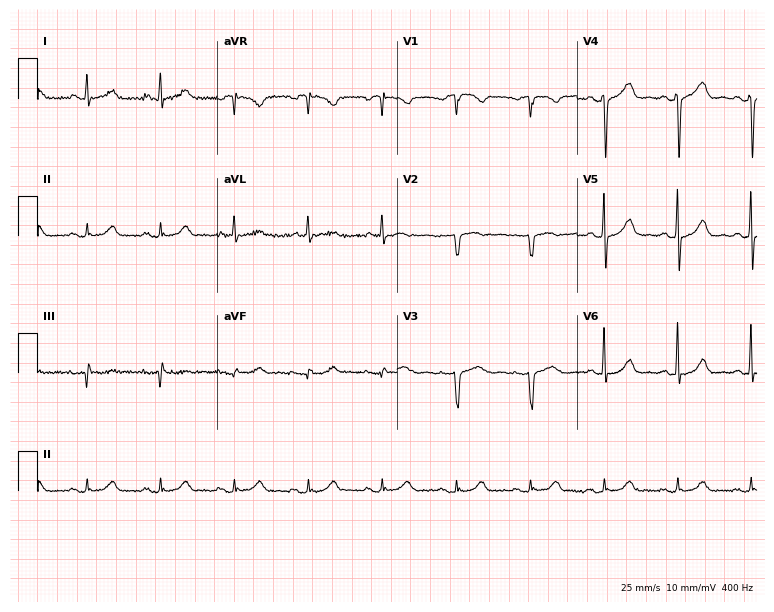
Electrocardiogram, a female patient, 81 years old. Of the six screened findings (first-degree AV block, right bundle branch block, left bundle branch block, sinus bradycardia, atrial fibrillation, sinus tachycardia), none is recorded. Only these six findings were labelled.